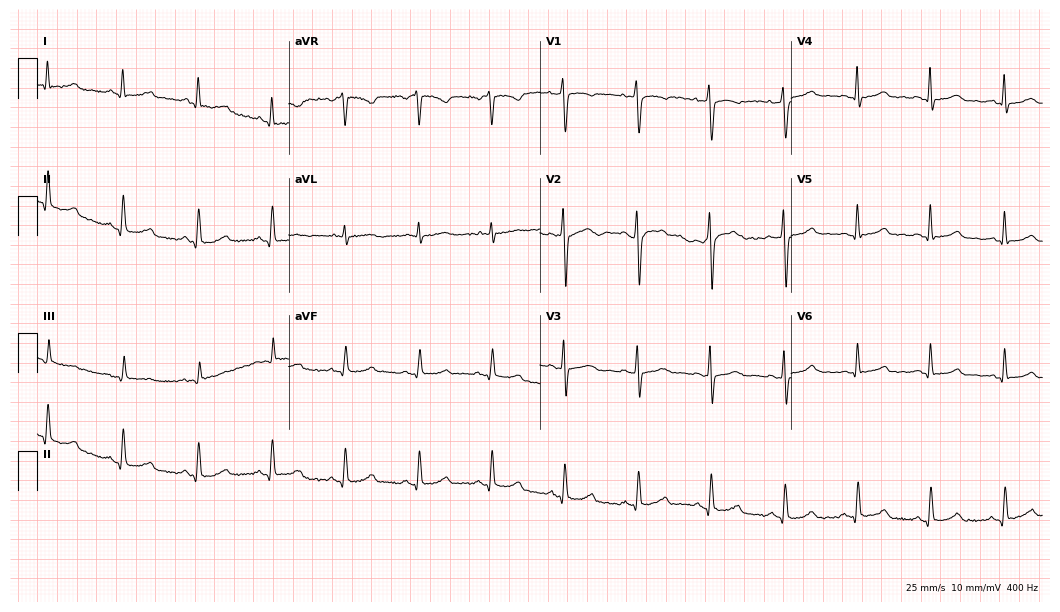
Resting 12-lead electrocardiogram (10.2-second recording at 400 Hz). Patient: a female, 34 years old. Read as a normal ECG.